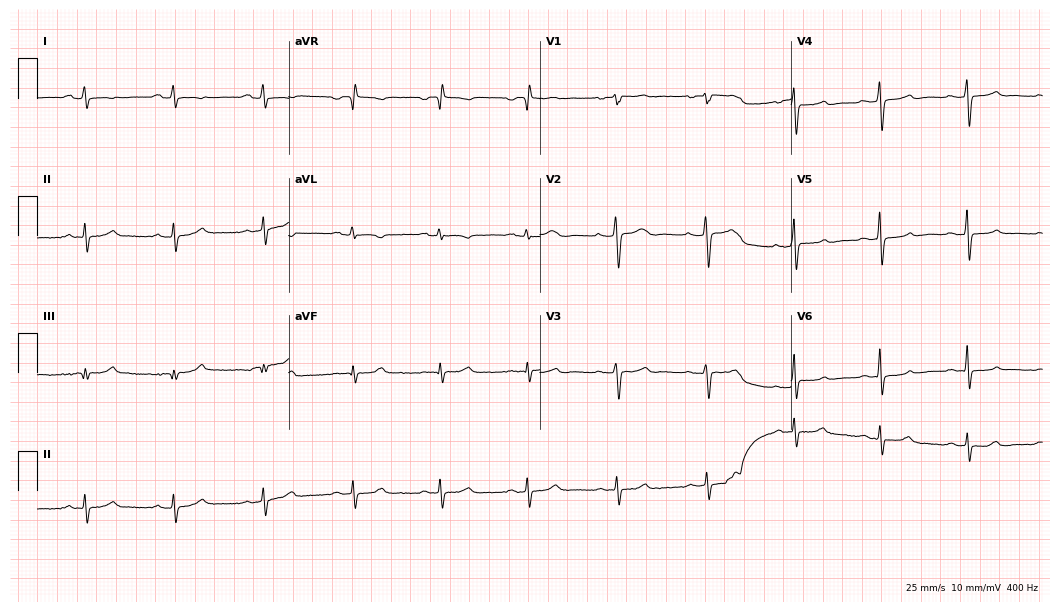
Standard 12-lead ECG recorded from a 49-year-old female (10.2-second recording at 400 Hz). None of these six findings is recorded: first-degree AV block, right bundle branch block, left bundle branch block, sinus bradycardia, atrial fibrillation, sinus tachycardia.